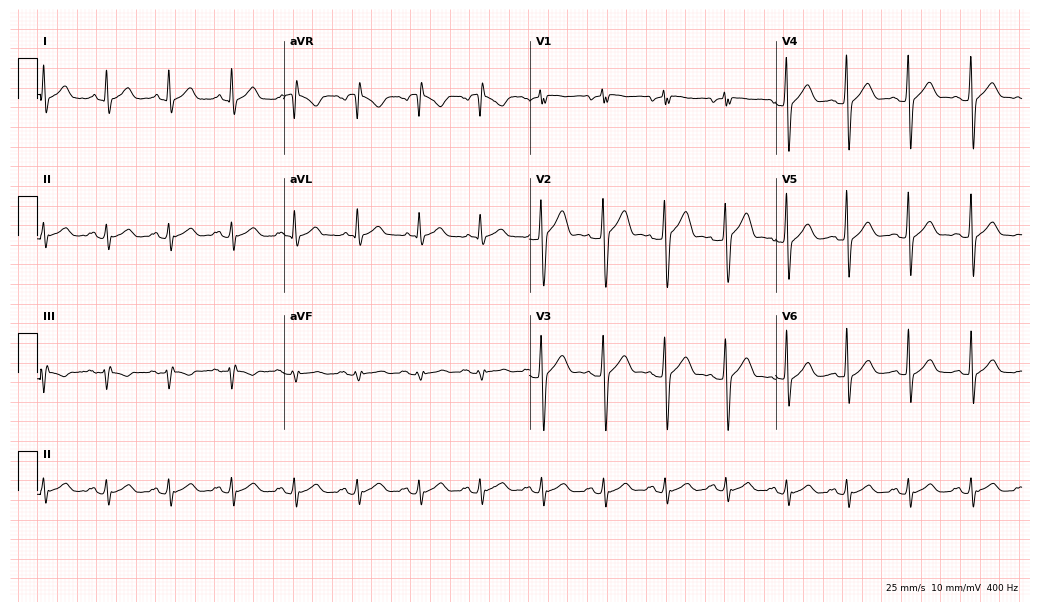
12-lead ECG from a 36-year-old man. Labelled as a normal ECG.